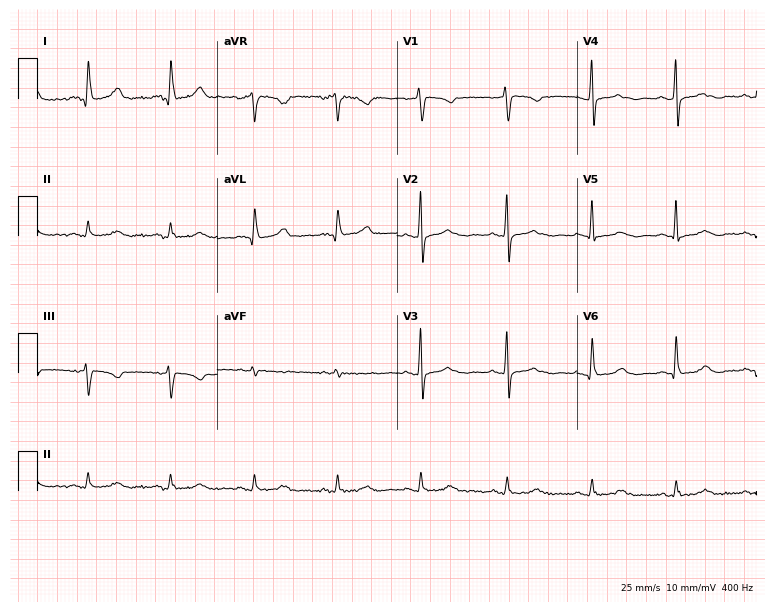
ECG (7.3-second recording at 400 Hz) — a 51-year-old woman. Screened for six findings — first-degree AV block, right bundle branch block, left bundle branch block, sinus bradycardia, atrial fibrillation, sinus tachycardia — none is recorded. Only these six findings were labelled.